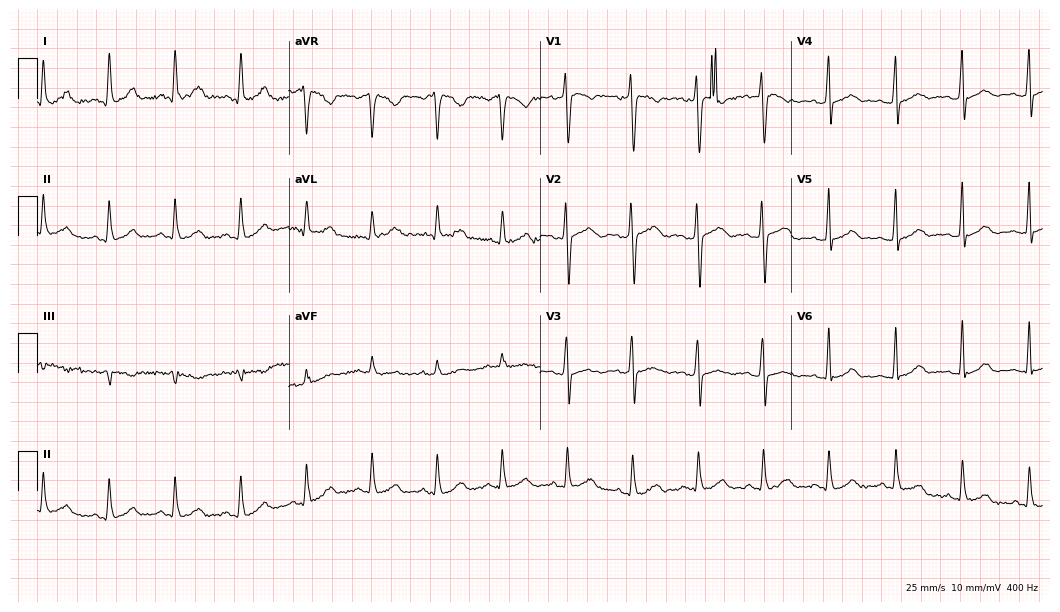
Standard 12-lead ECG recorded from a 37-year-old woman. Read as a normal ECG.